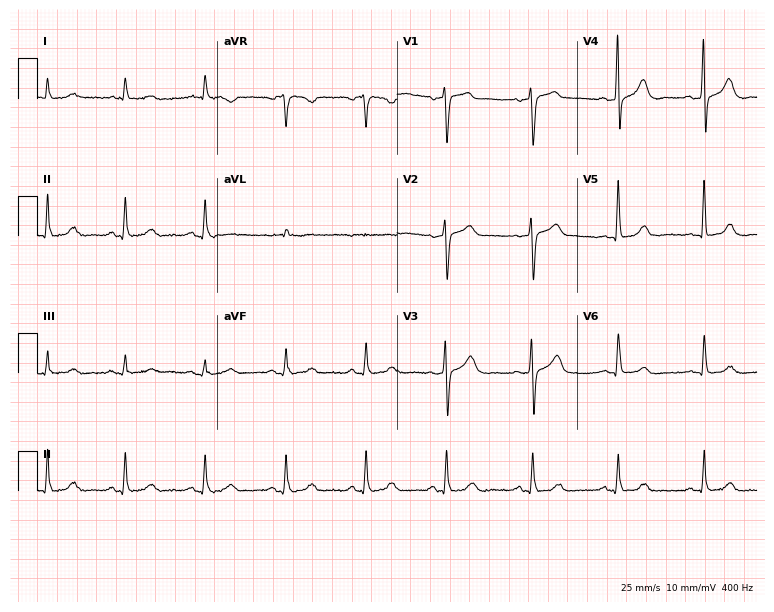
12-lead ECG from a male patient, 68 years old. Screened for six findings — first-degree AV block, right bundle branch block, left bundle branch block, sinus bradycardia, atrial fibrillation, sinus tachycardia — none is recorded.